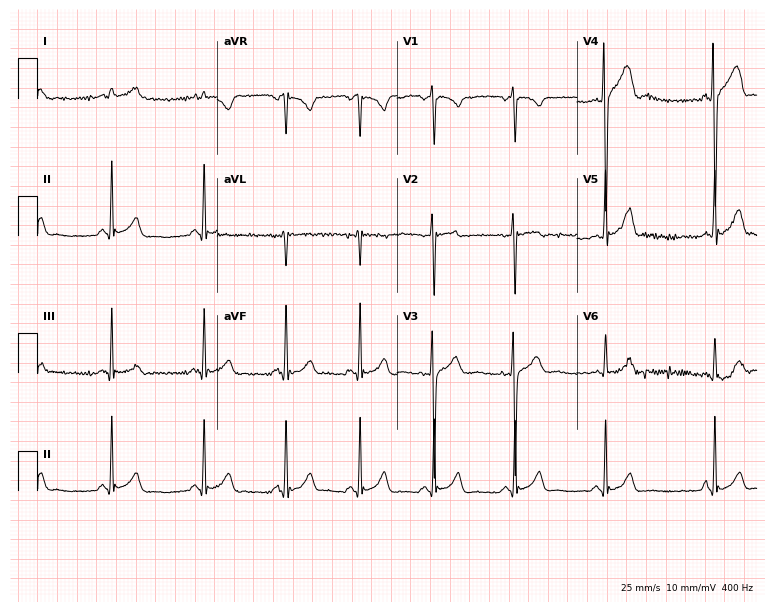
12-lead ECG (7.3-second recording at 400 Hz) from a male patient, 22 years old. Labelled as a normal ECG.